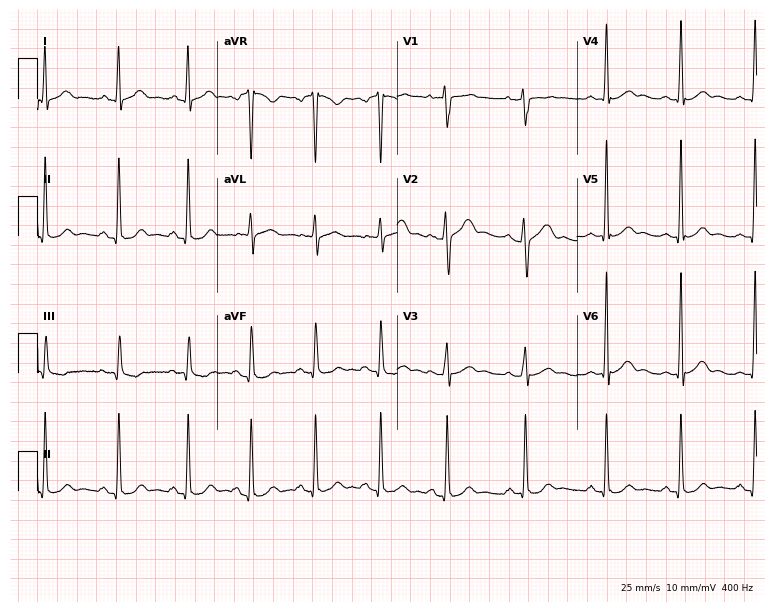
Resting 12-lead electrocardiogram. Patient: an 18-year-old male. None of these six findings is recorded: first-degree AV block, right bundle branch block, left bundle branch block, sinus bradycardia, atrial fibrillation, sinus tachycardia. Findings outside these six are not listed.